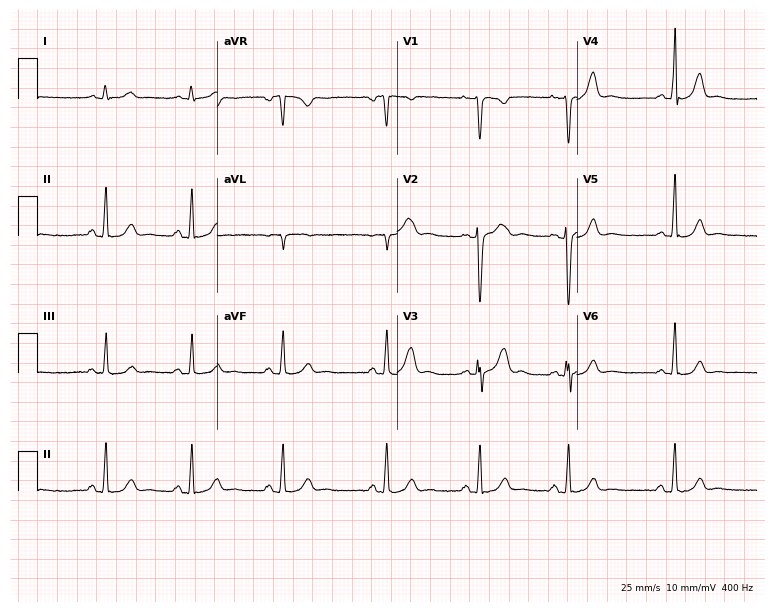
12-lead ECG from a female patient, 35 years old. Recorded interpretation: within normal limits.